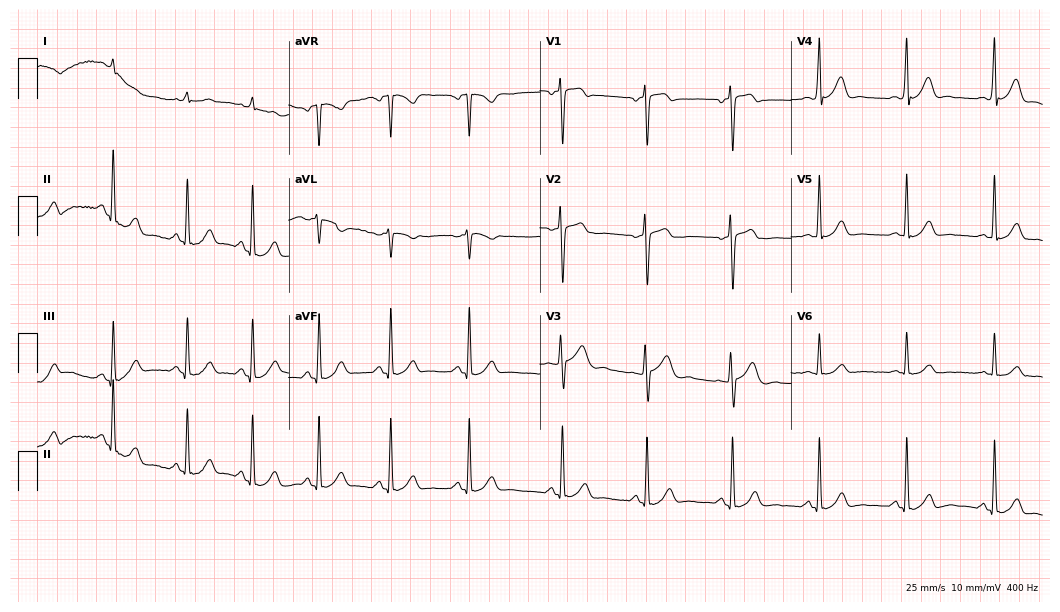
Standard 12-lead ECG recorded from a 41-year-old male patient (10.2-second recording at 400 Hz). Read as a normal ECG.